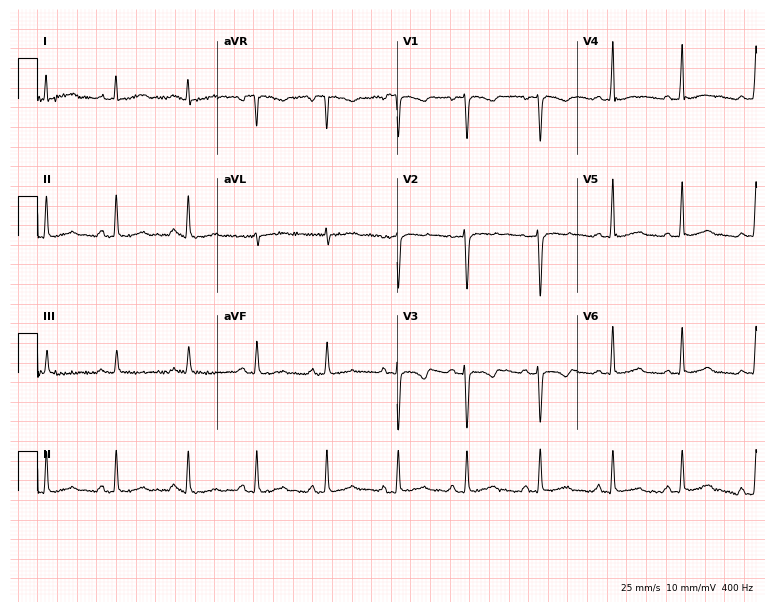
12-lead ECG from a female patient, 20 years old (7.3-second recording at 400 Hz). No first-degree AV block, right bundle branch block (RBBB), left bundle branch block (LBBB), sinus bradycardia, atrial fibrillation (AF) or sinus tachycardia recorded for this tracing. Findings outside these six are not listed.